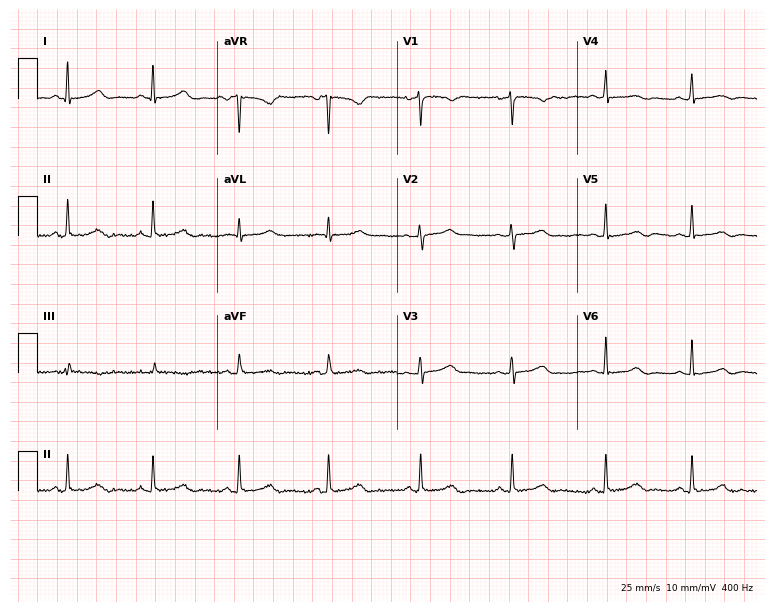
Resting 12-lead electrocardiogram. Patient: a 41-year-old woman. None of these six findings is recorded: first-degree AV block, right bundle branch block (RBBB), left bundle branch block (LBBB), sinus bradycardia, atrial fibrillation (AF), sinus tachycardia.